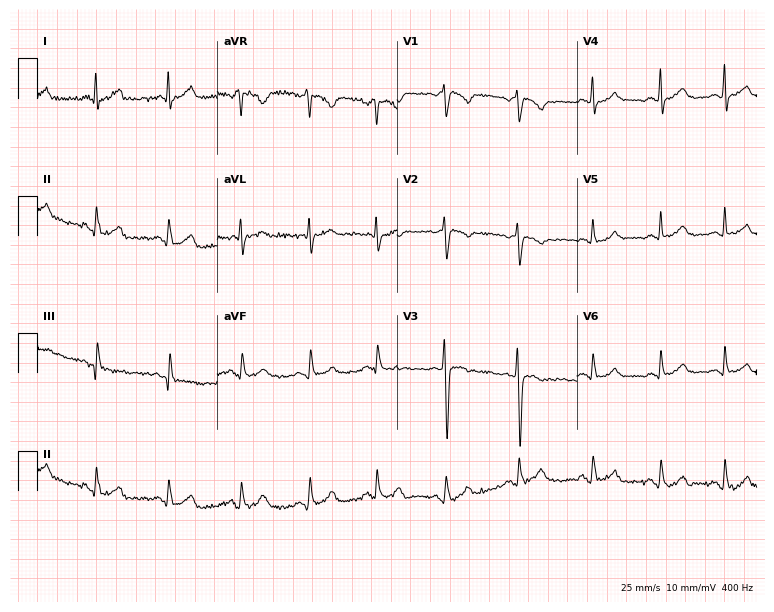
Electrocardiogram (7.3-second recording at 400 Hz), a 19-year-old female patient. Of the six screened findings (first-degree AV block, right bundle branch block, left bundle branch block, sinus bradycardia, atrial fibrillation, sinus tachycardia), none is recorded.